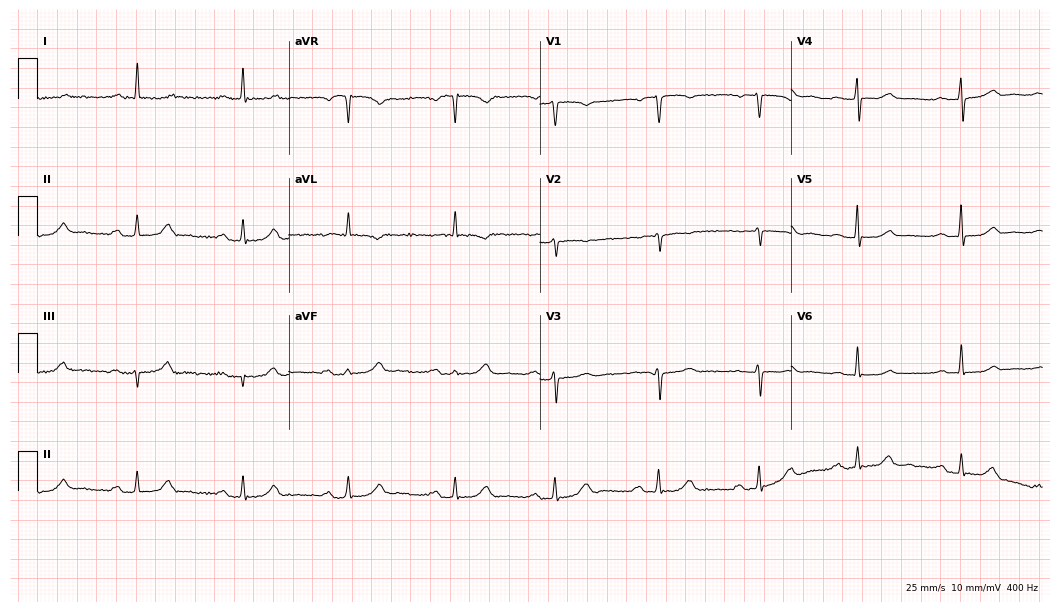
ECG (10.2-second recording at 400 Hz) — a 64-year-old female patient. Screened for six findings — first-degree AV block, right bundle branch block (RBBB), left bundle branch block (LBBB), sinus bradycardia, atrial fibrillation (AF), sinus tachycardia — none is recorded.